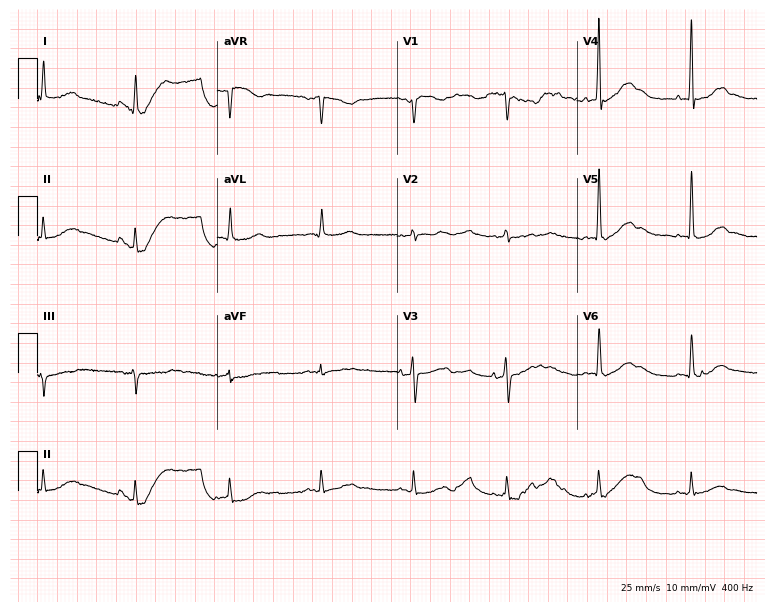
Electrocardiogram (7.3-second recording at 400 Hz), a 65-year-old male. Overall reading on record: normal ECG.